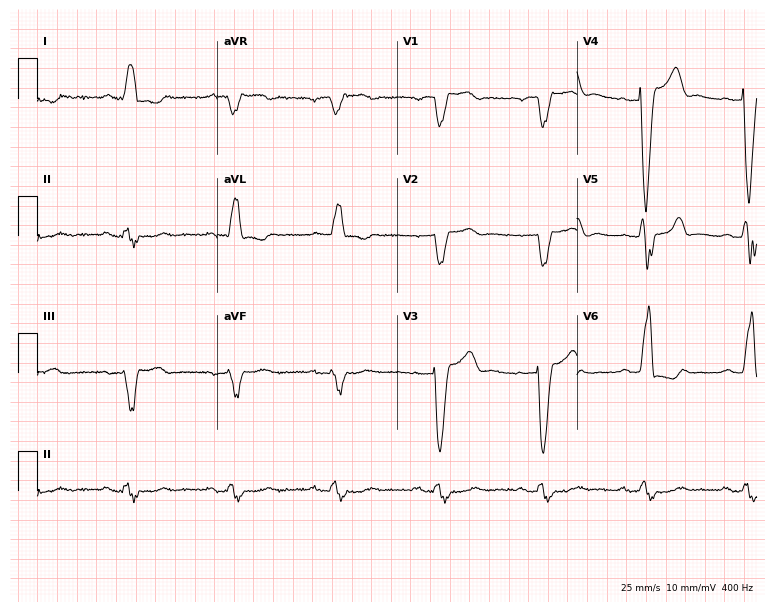
Standard 12-lead ECG recorded from an 81-year-old male patient. The tracing shows left bundle branch block.